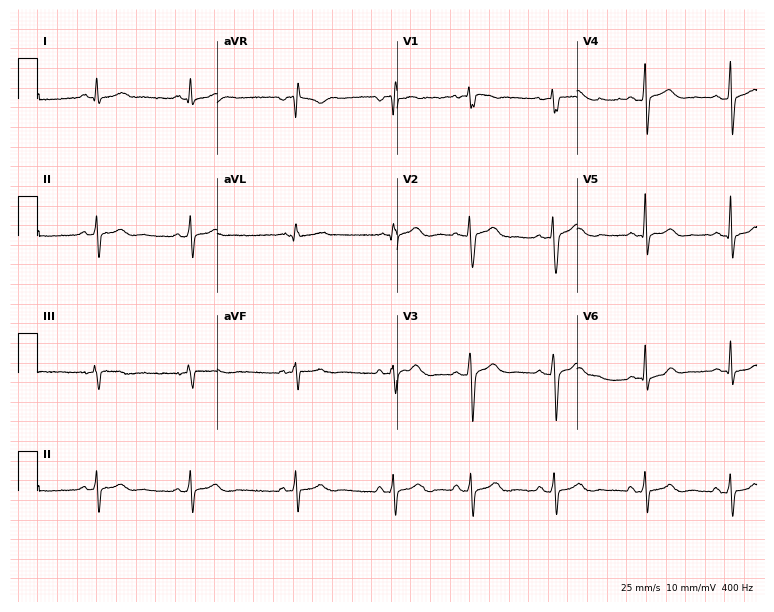
12-lead ECG from a 27-year-old woman (7.3-second recording at 400 Hz). No first-degree AV block, right bundle branch block (RBBB), left bundle branch block (LBBB), sinus bradycardia, atrial fibrillation (AF) or sinus tachycardia recorded for this tracing. Only these six findings were labelled.